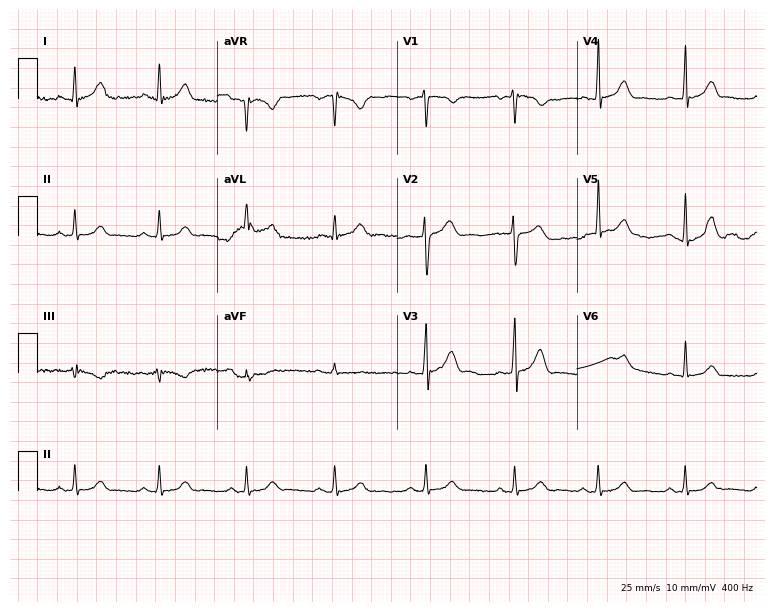
12-lead ECG from a 31-year-old male patient. Screened for six findings — first-degree AV block, right bundle branch block, left bundle branch block, sinus bradycardia, atrial fibrillation, sinus tachycardia — none is recorded. Other findings, if any, are not listed.